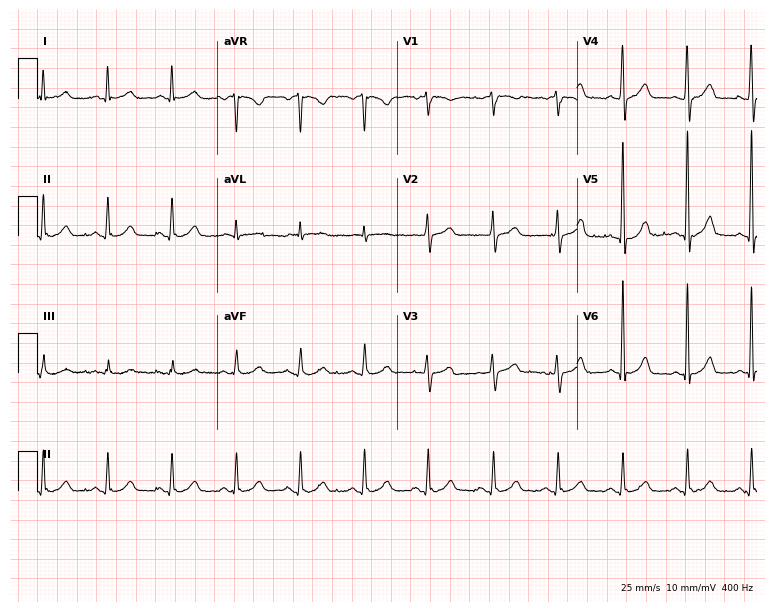
Electrocardiogram, a 71-year-old man. Overall reading on record: normal ECG.